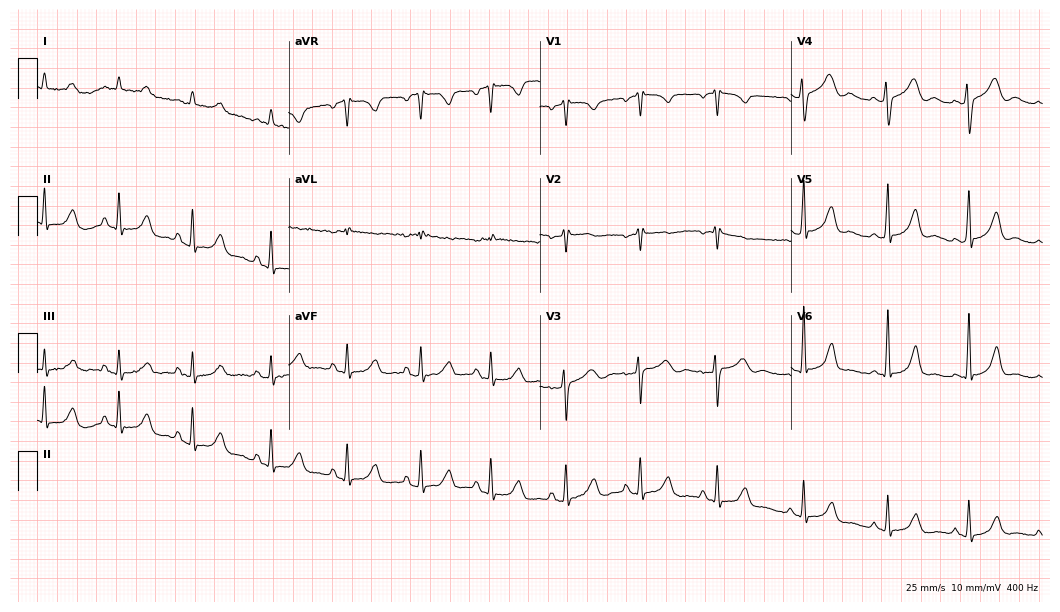
ECG — a 35-year-old female patient. Labelled as a normal ECG.